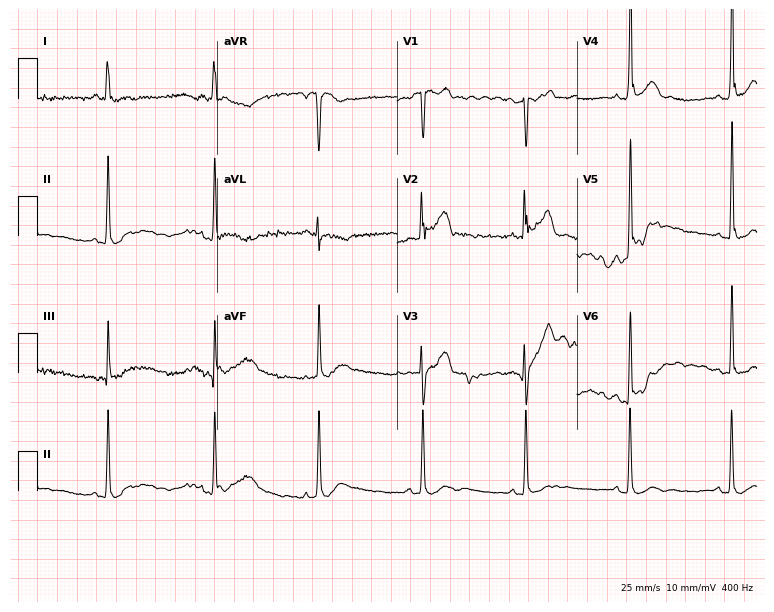
ECG — a male patient, 22 years old. Screened for six findings — first-degree AV block, right bundle branch block, left bundle branch block, sinus bradycardia, atrial fibrillation, sinus tachycardia — none is recorded.